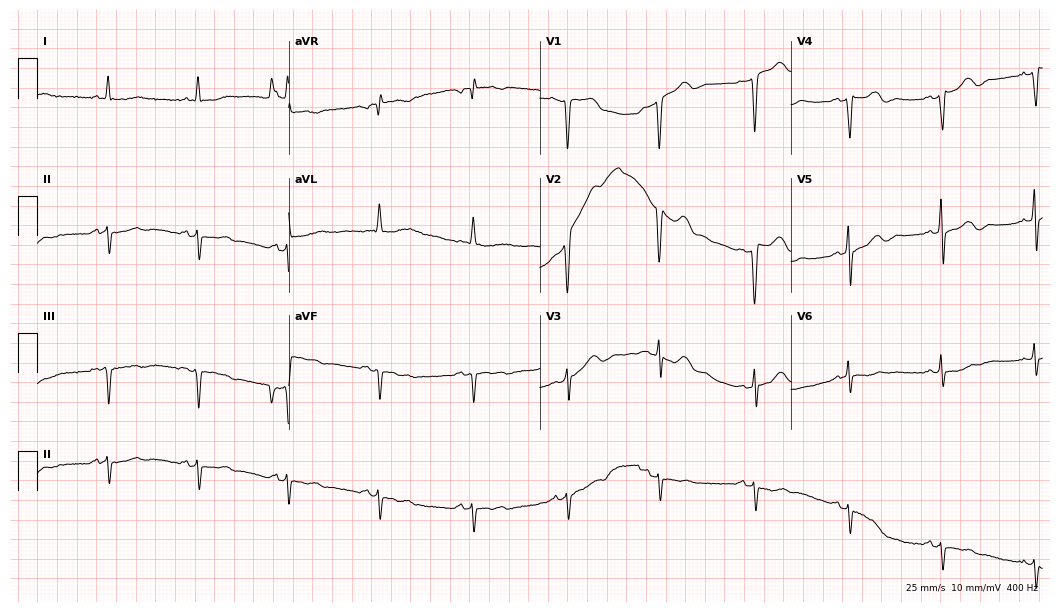
ECG — an 85-year-old male. Screened for six findings — first-degree AV block, right bundle branch block (RBBB), left bundle branch block (LBBB), sinus bradycardia, atrial fibrillation (AF), sinus tachycardia — none is recorded.